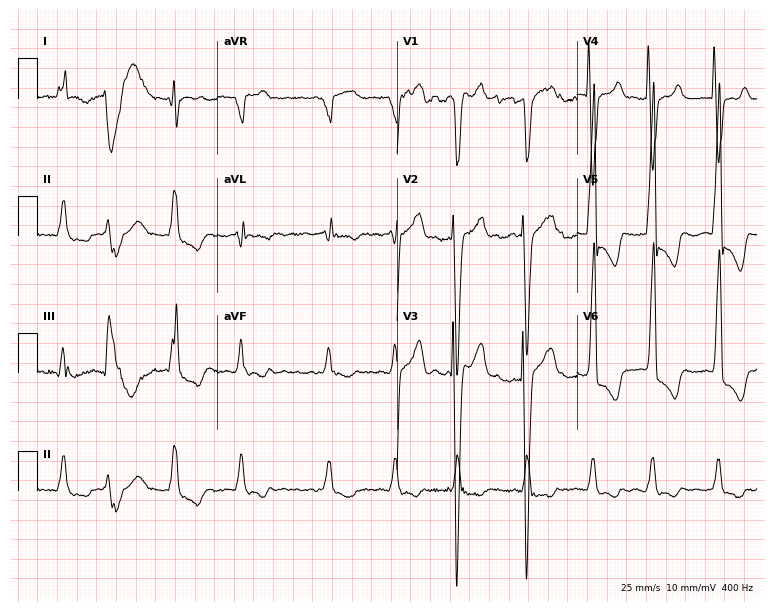
Resting 12-lead electrocardiogram. Patient: a 68-year-old man. The tracing shows left bundle branch block (LBBB).